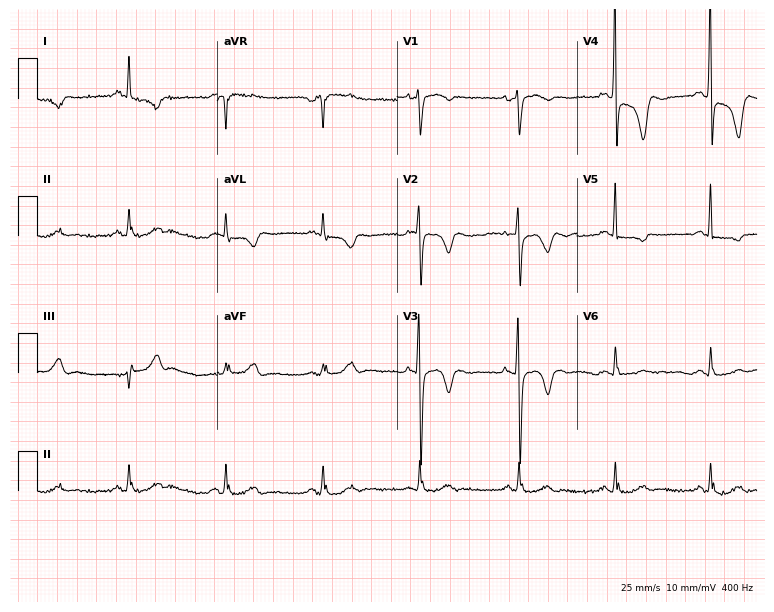
12-lead ECG from a man, 69 years old. Screened for six findings — first-degree AV block, right bundle branch block, left bundle branch block, sinus bradycardia, atrial fibrillation, sinus tachycardia — none is recorded.